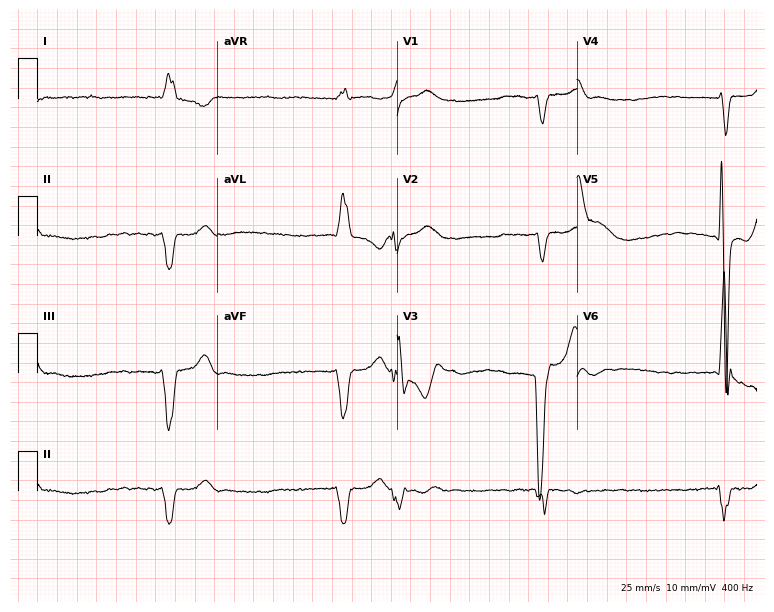
Resting 12-lead electrocardiogram. Patient: a male, 80 years old. The tracing shows atrial fibrillation.